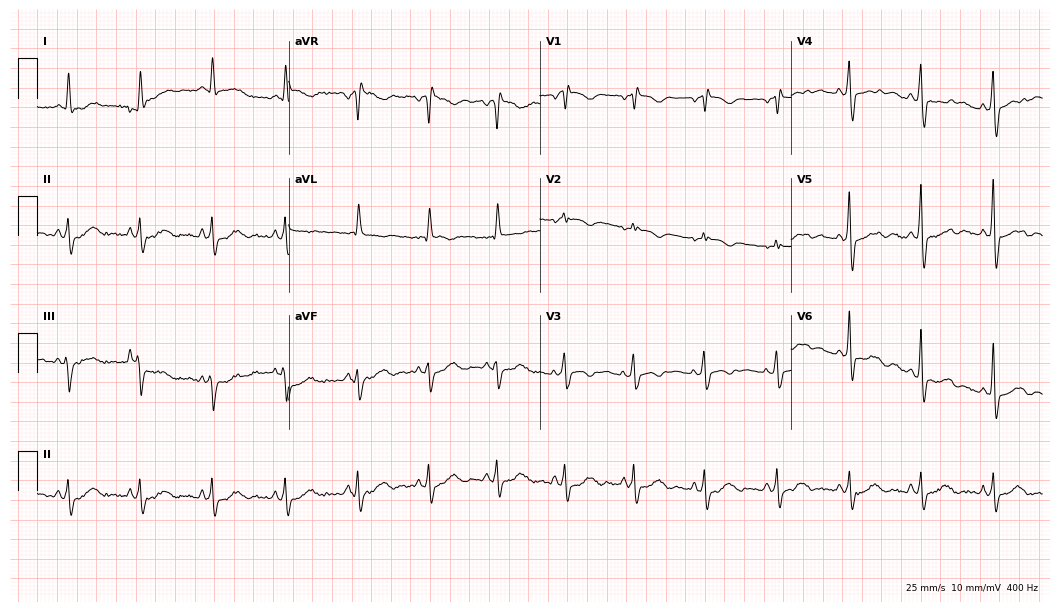
12-lead ECG (10.2-second recording at 400 Hz) from a 69-year-old female. Screened for six findings — first-degree AV block, right bundle branch block (RBBB), left bundle branch block (LBBB), sinus bradycardia, atrial fibrillation (AF), sinus tachycardia — none is recorded.